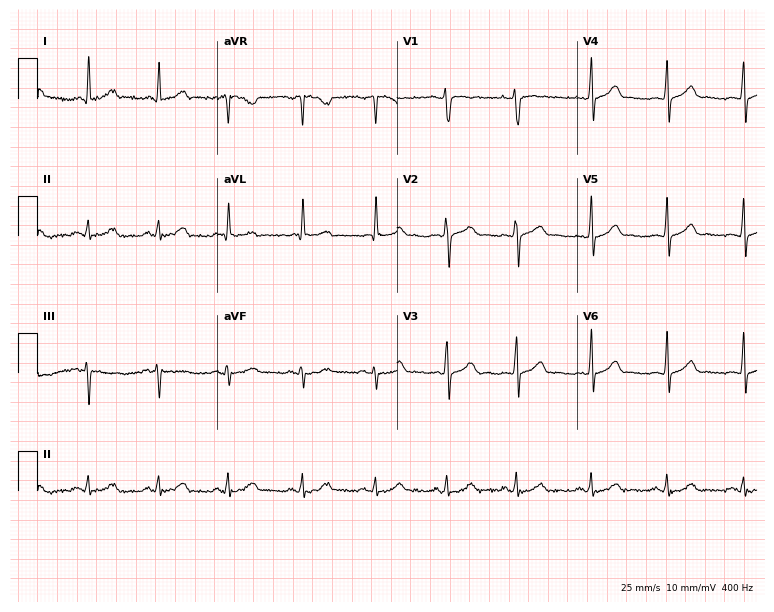
Resting 12-lead electrocardiogram (7.3-second recording at 400 Hz). Patient: a 43-year-old woman. None of these six findings is recorded: first-degree AV block, right bundle branch block, left bundle branch block, sinus bradycardia, atrial fibrillation, sinus tachycardia. Only these six findings were labelled.